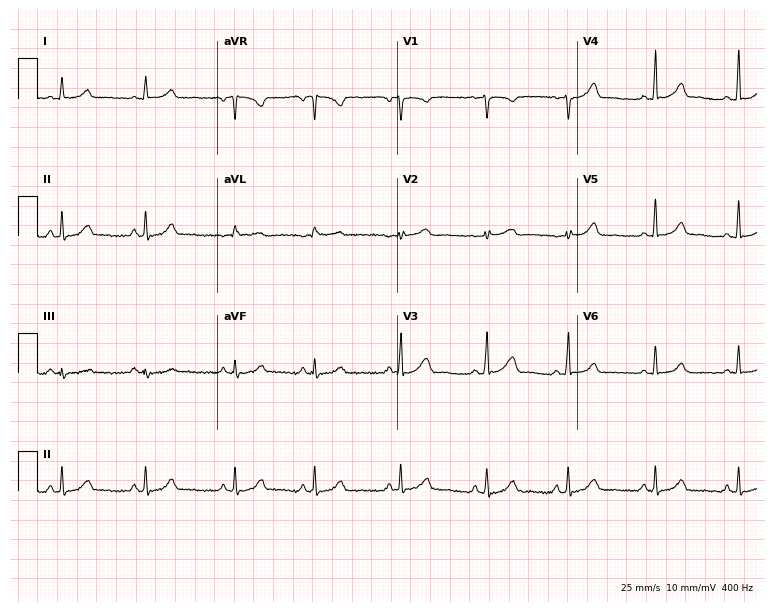
Electrocardiogram (7.3-second recording at 400 Hz), a 37-year-old female patient. Overall reading on record: normal ECG.